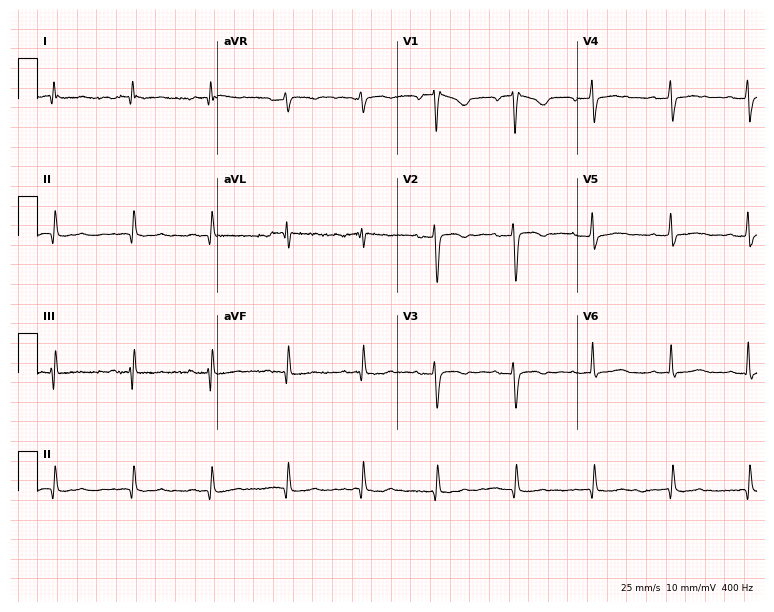
12-lead ECG from a 39-year-old woman. Screened for six findings — first-degree AV block, right bundle branch block (RBBB), left bundle branch block (LBBB), sinus bradycardia, atrial fibrillation (AF), sinus tachycardia — none is recorded.